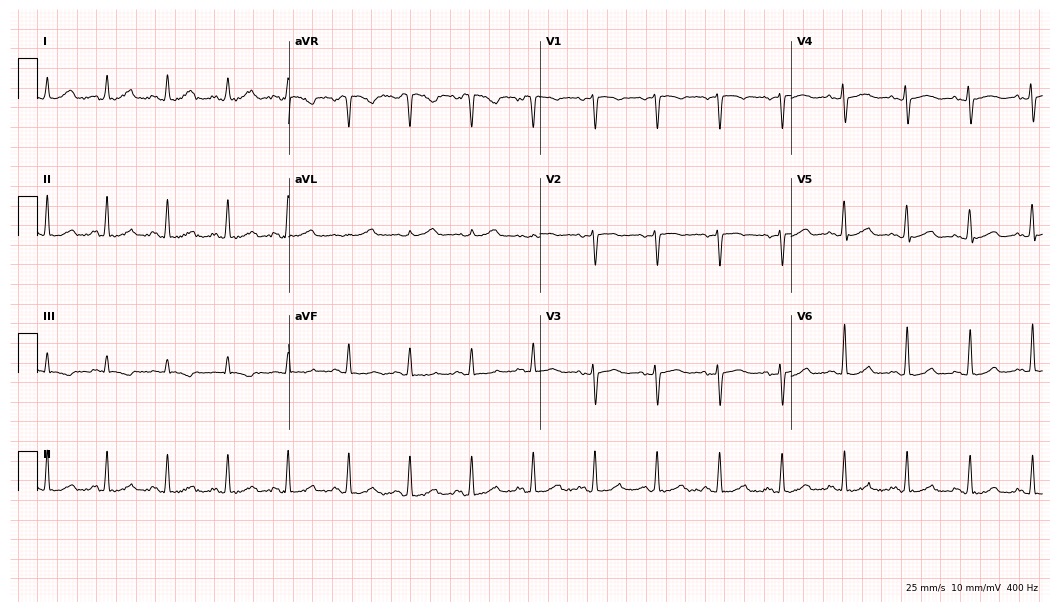
12-lead ECG from a 50-year-old female patient. Recorded interpretation: within normal limits.